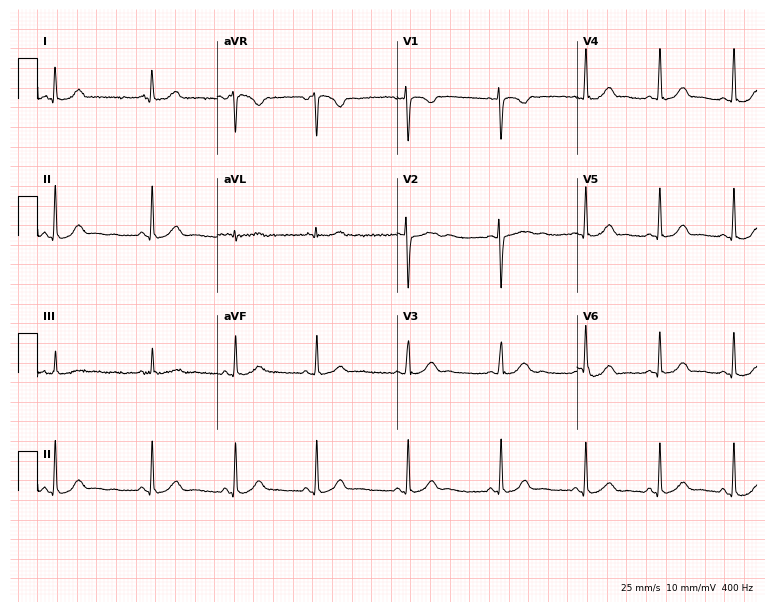
12-lead ECG from a 21-year-old woman (7.3-second recording at 400 Hz). Recorded interpretation: within normal limits.